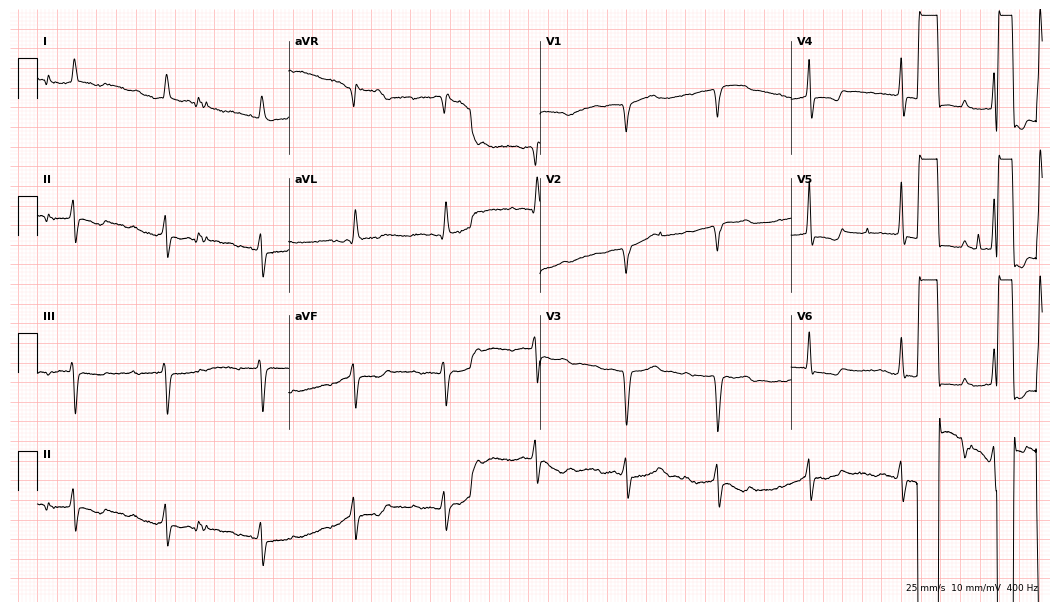
12-lead ECG from a woman, 84 years old (10.2-second recording at 400 Hz). No first-degree AV block, right bundle branch block, left bundle branch block, sinus bradycardia, atrial fibrillation or sinus tachycardia recorded for this tracing. Findings outside these six are not listed.